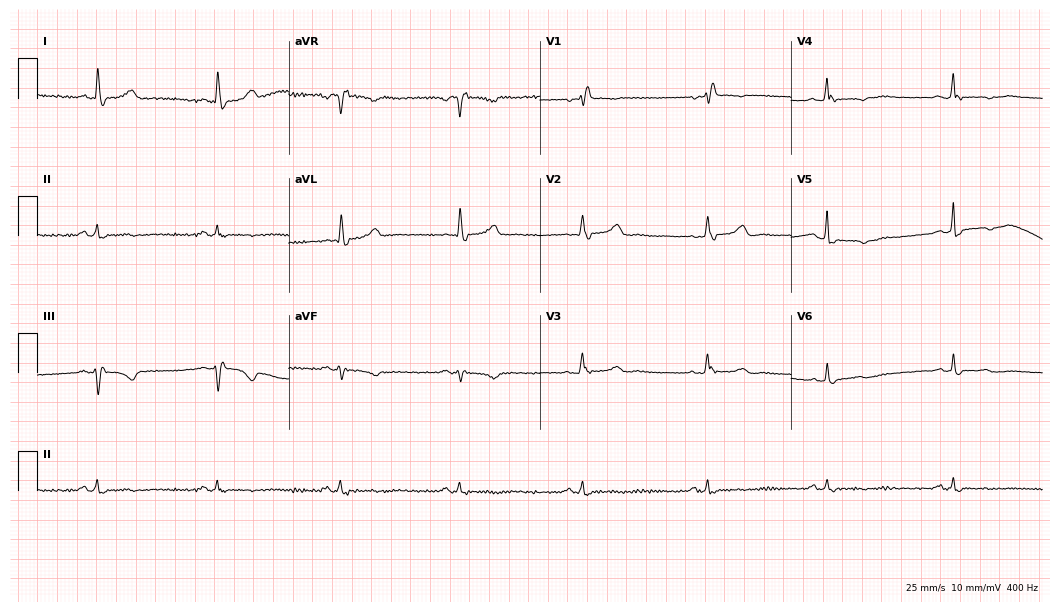
Standard 12-lead ECG recorded from a female patient, 82 years old. The tracing shows right bundle branch block, sinus bradycardia (a sinus rate of 50 beats per minute or less).